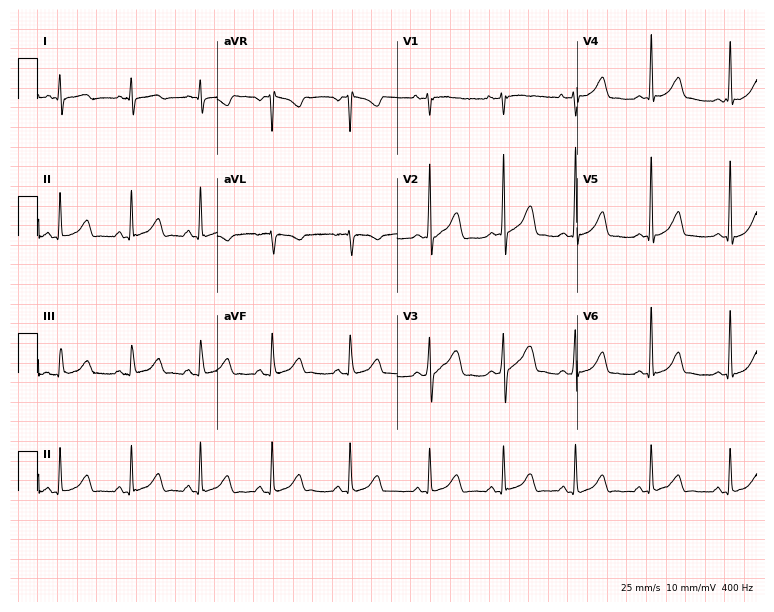
Standard 12-lead ECG recorded from a male patient, 23 years old (7.3-second recording at 400 Hz). Read as a normal ECG.